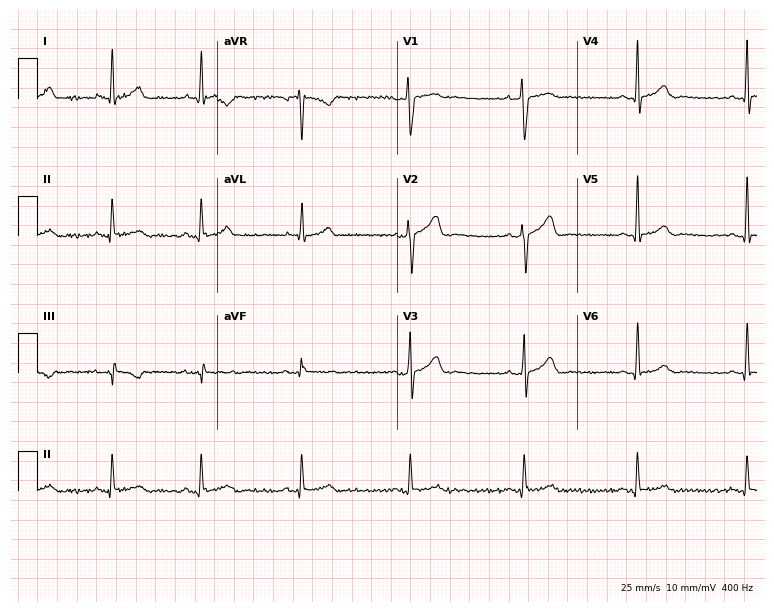
Resting 12-lead electrocardiogram. Patient: a 32-year-old male. Read as a normal ECG.